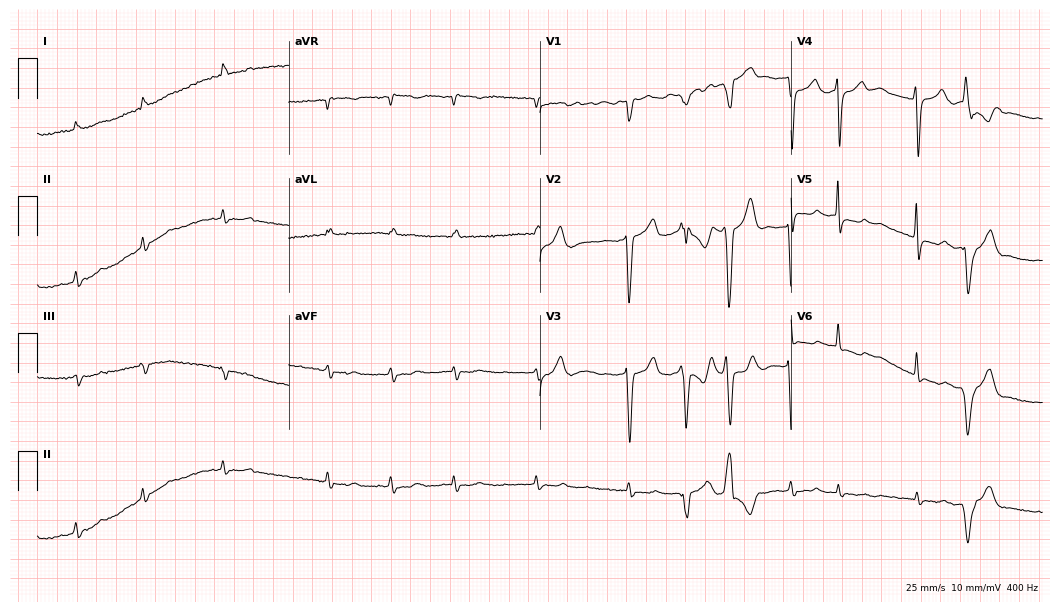
ECG — an 83-year-old male. Labelled as a normal ECG.